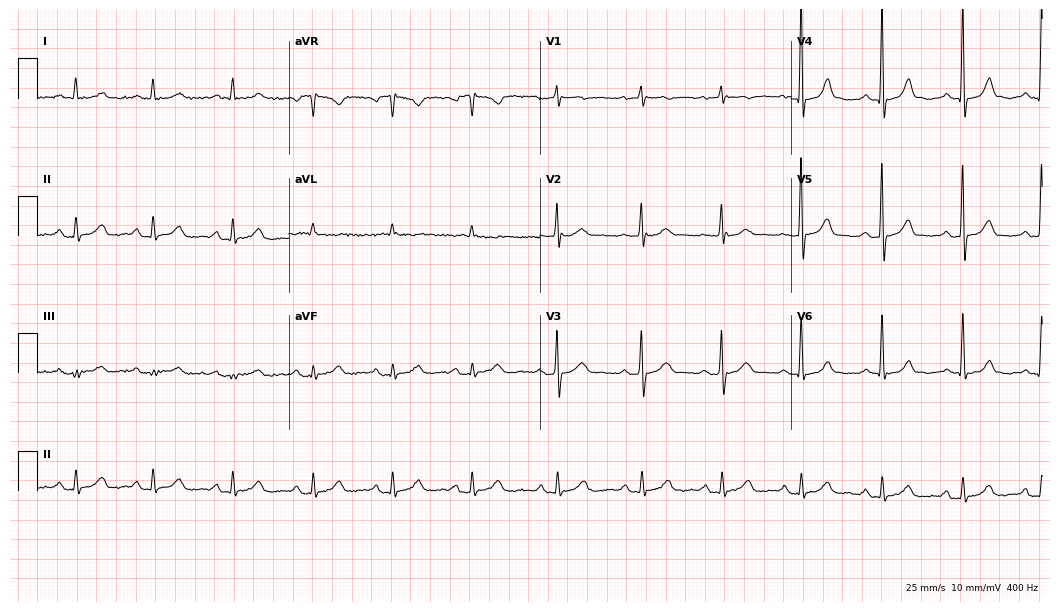
Standard 12-lead ECG recorded from a female, 75 years old (10.2-second recording at 400 Hz). Read as a normal ECG.